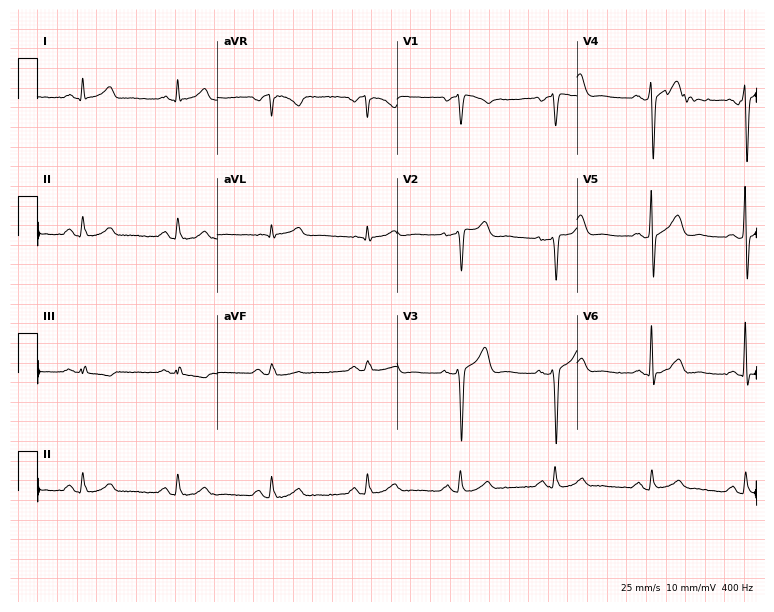
Resting 12-lead electrocardiogram. Patient: a man, 54 years old. None of these six findings is recorded: first-degree AV block, right bundle branch block, left bundle branch block, sinus bradycardia, atrial fibrillation, sinus tachycardia.